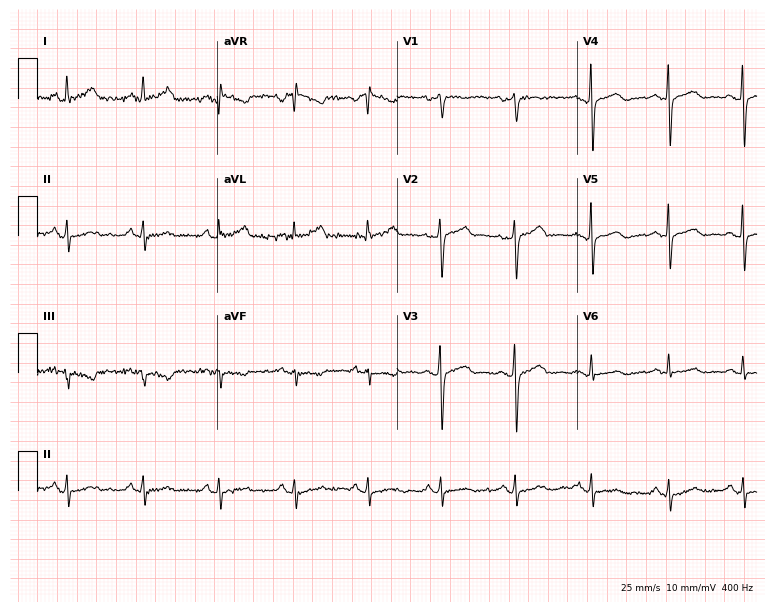
Standard 12-lead ECG recorded from a woman, 49 years old (7.3-second recording at 400 Hz). None of these six findings is recorded: first-degree AV block, right bundle branch block, left bundle branch block, sinus bradycardia, atrial fibrillation, sinus tachycardia. Findings outside these six are not listed.